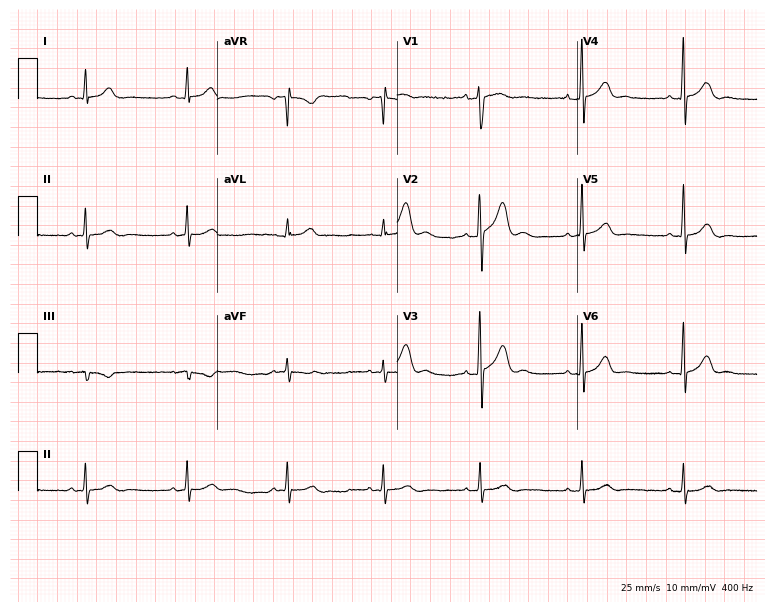
ECG (7.3-second recording at 400 Hz) — a male patient, 31 years old. Labelled as a normal ECG.